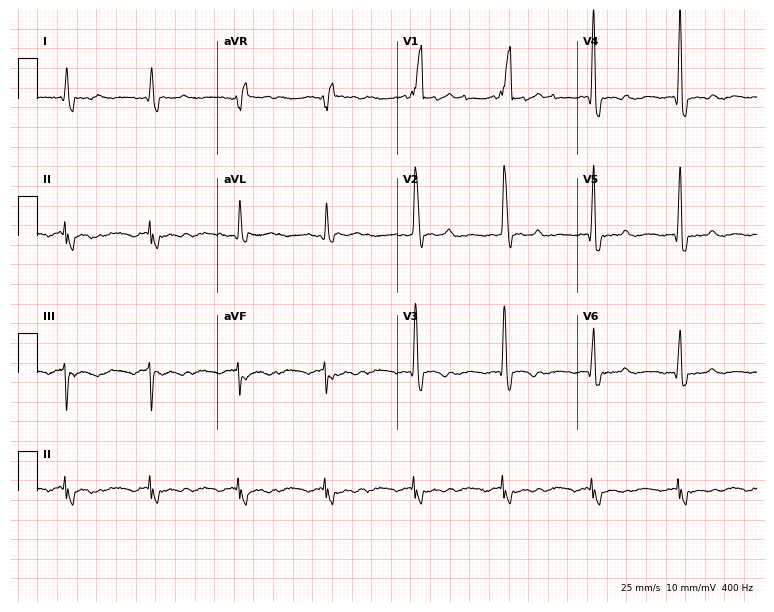
Resting 12-lead electrocardiogram (7.3-second recording at 400 Hz). Patient: an 85-year-old male. None of these six findings is recorded: first-degree AV block, right bundle branch block, left bundle branch block, sinus bradycardia, atrial fibrillation, sinus tachycardia.